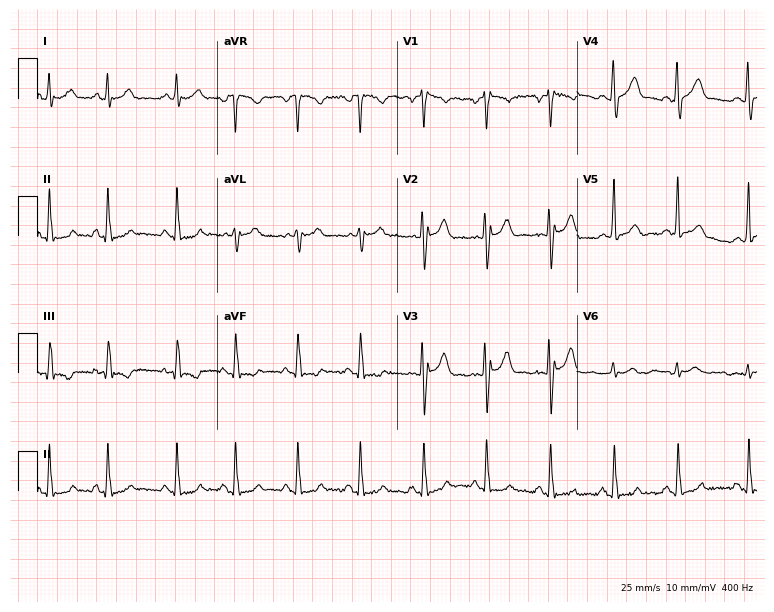
ECG (7.3-second recording at 400 Hz) — a male patient, 41 years old. Screened for six findings — first-degree AV block, right bundle branch block (RBBB), left bundle branch block (LBBB), sinus bradycardia, atrial fibrillation (AF), sinus tachycardia — none is recorded.